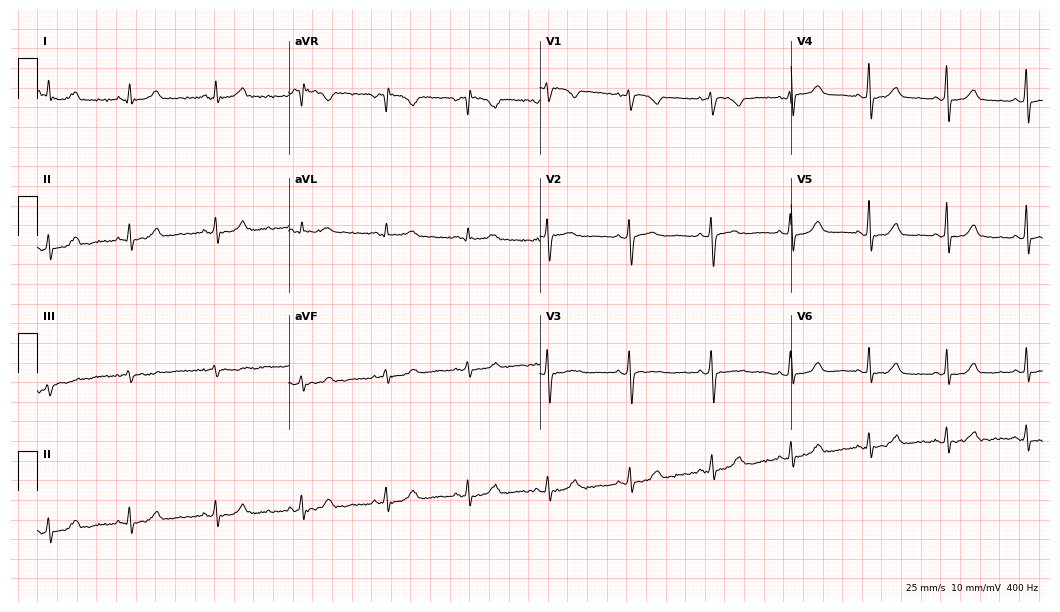
Resting 12-lead electrocardiogram. Patient: a female, 52 years old. Read as a normal ECG.